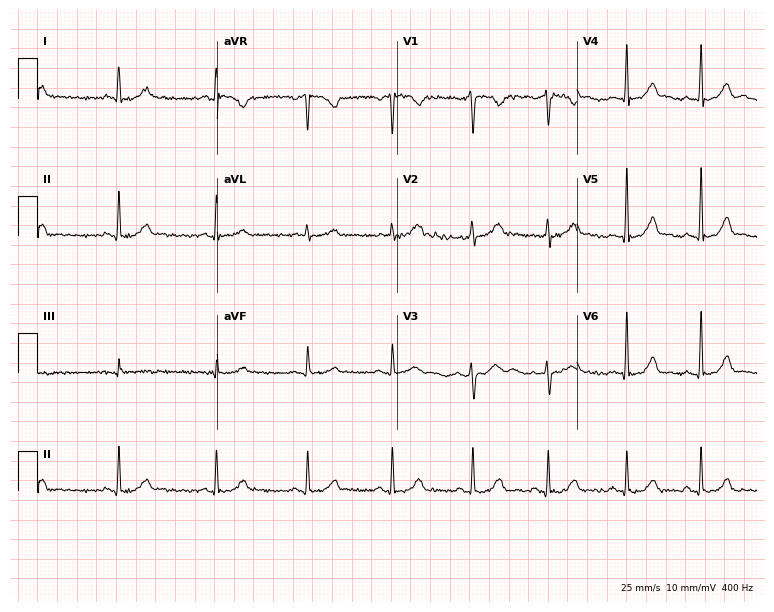
12-lead ECG from a 26-year-old female. Labelled as a normal ECG.